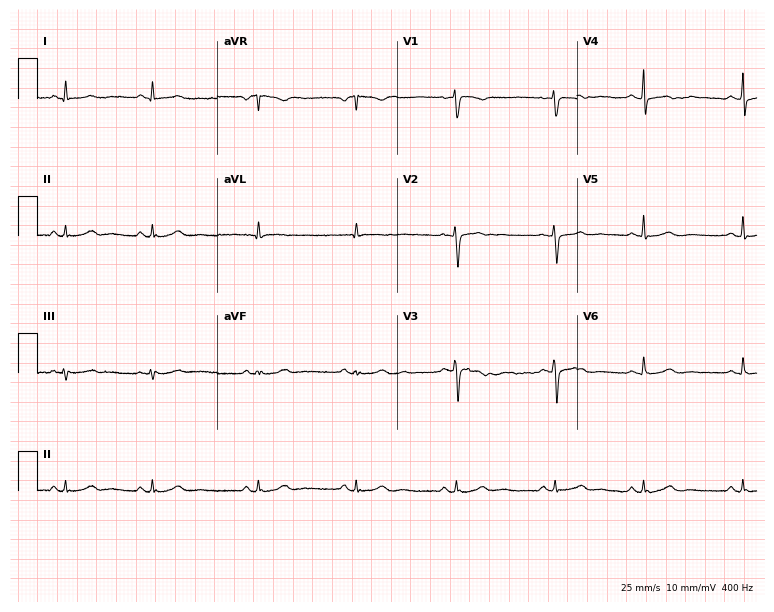
12-lead ECG from a woman, 39 years old. No first-degree AV block, right bundle branch block, left bundle branch block, sinus bradycardia, atrial fibrillation or sinus tachycardia recorded for this tracing. Only these six findings were labelled.